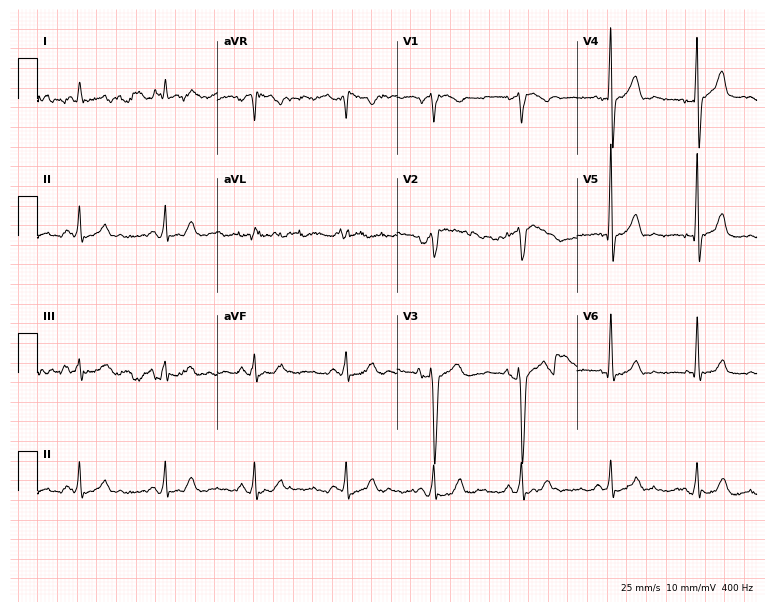
Resting 12-lead electrocardiogram (7.3-second recording at 400 Hz). Patient: a woman, 61 years old. None of these six findings is recorded: first-degree AV block, right bundle branch block (RBBB), left bundle branch block (LBBB), sinus bradycardia, atrial fibrillation (AF), sinus tachycardia. Findings outside these six are not listed.